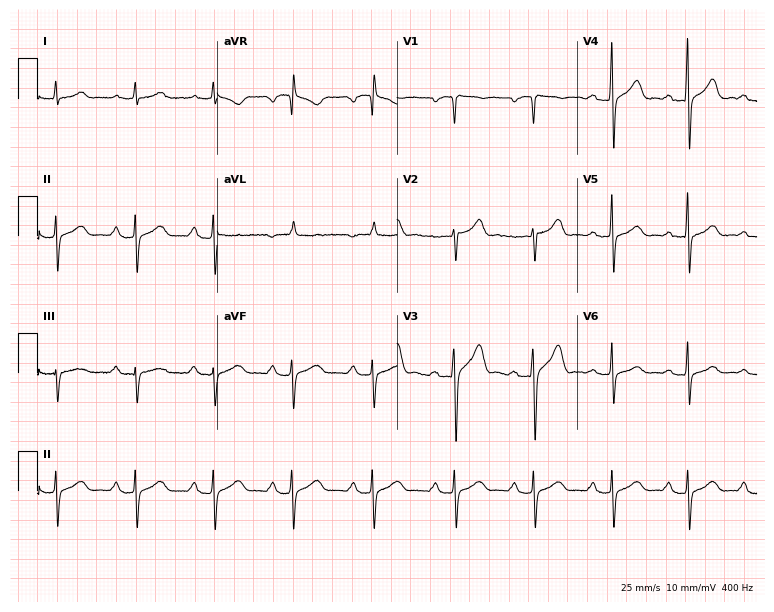
ECG (7.3-second recording at 400 Hz) — a 60-year-old male patient. Findings include first-degree AV block.